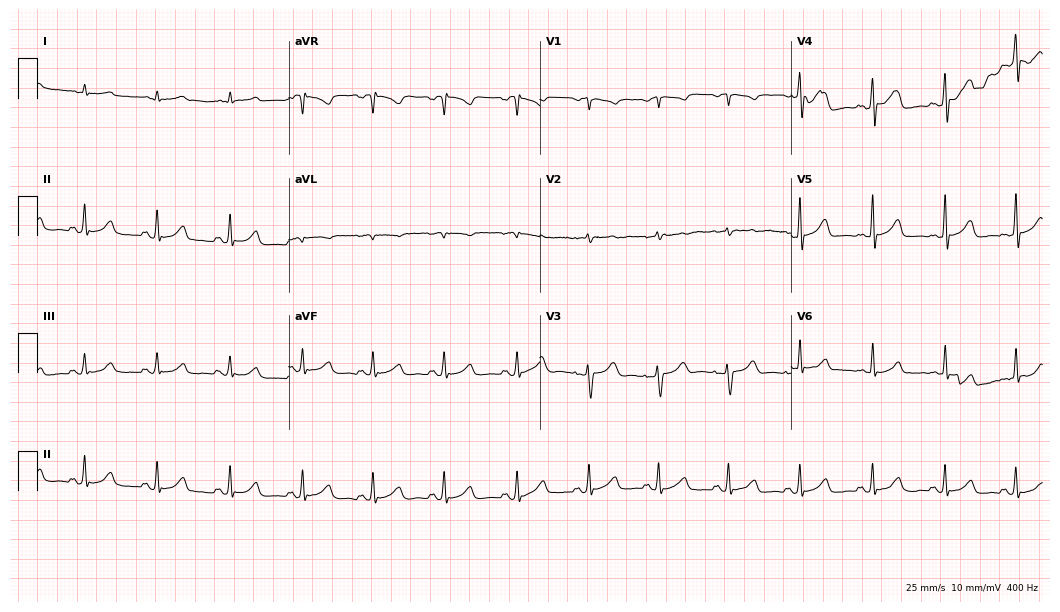
12-lead ECG from a 50-year-old male. Recorded interpretation: within normal limits.